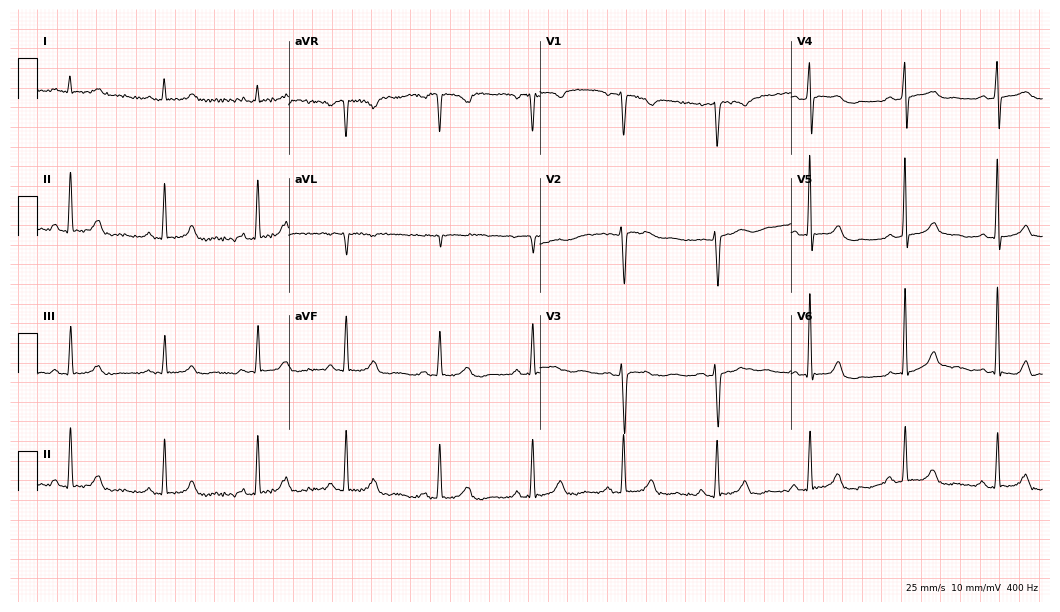
Standard 12-lead ECG recorded from a 49-year-old female patient. Read as a normal ECG.